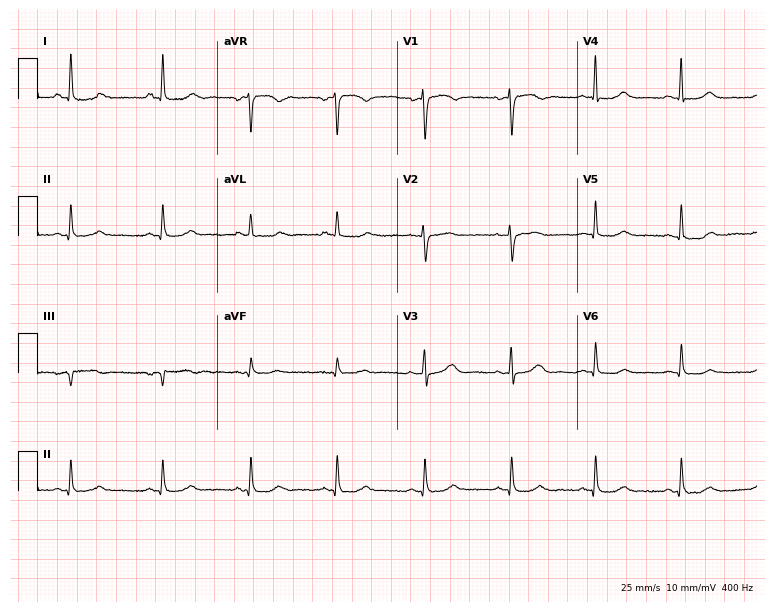
12-lead ECG (7.3-second recording at 400 Hz) from a 54-year-old female patient. Labelled as a normal ECG.